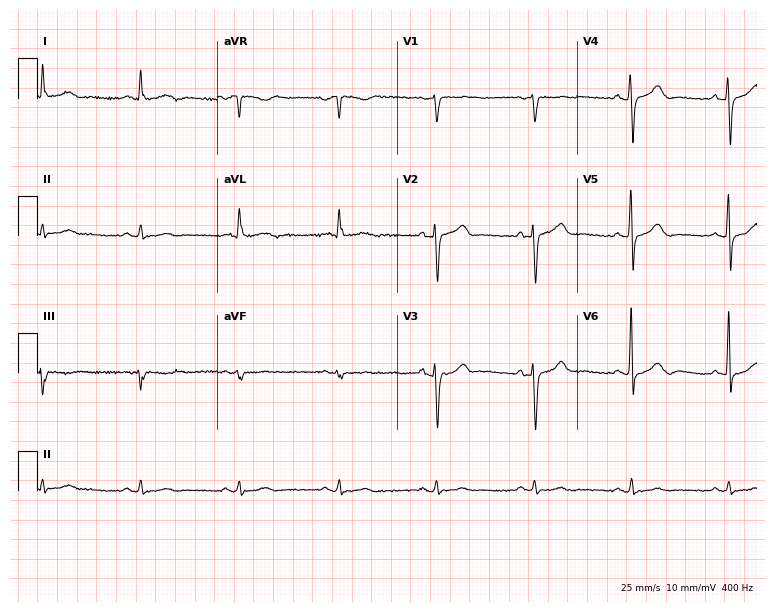
12-lead ECG from a man, 77 years old. No first-degree AV block, right bundle branch block, left bundle branch block, sinus bradycardia, atrial fibrillation or sinus tachycardia recorded for this tracing.